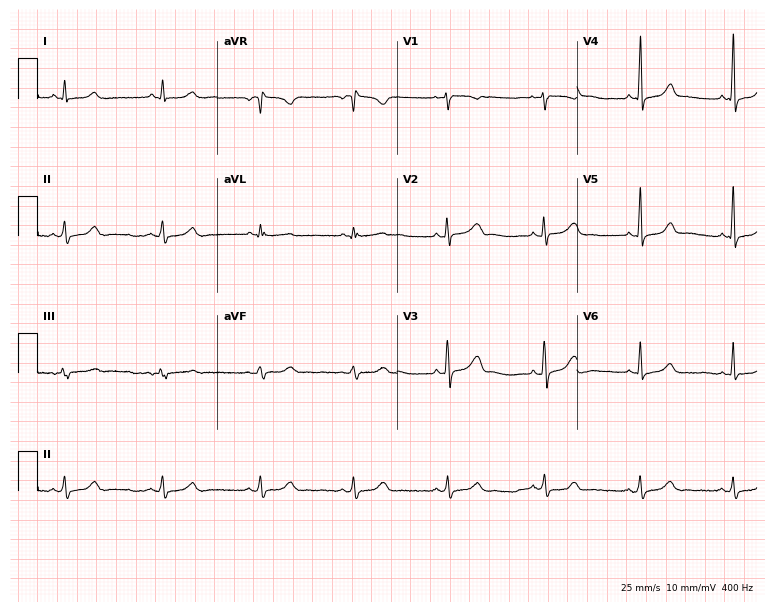
Resting 12-lead electrocardiogram (7.3-second recording at 400 Hz). Patient: a 38-year-old woman. Read as a normal ECG.